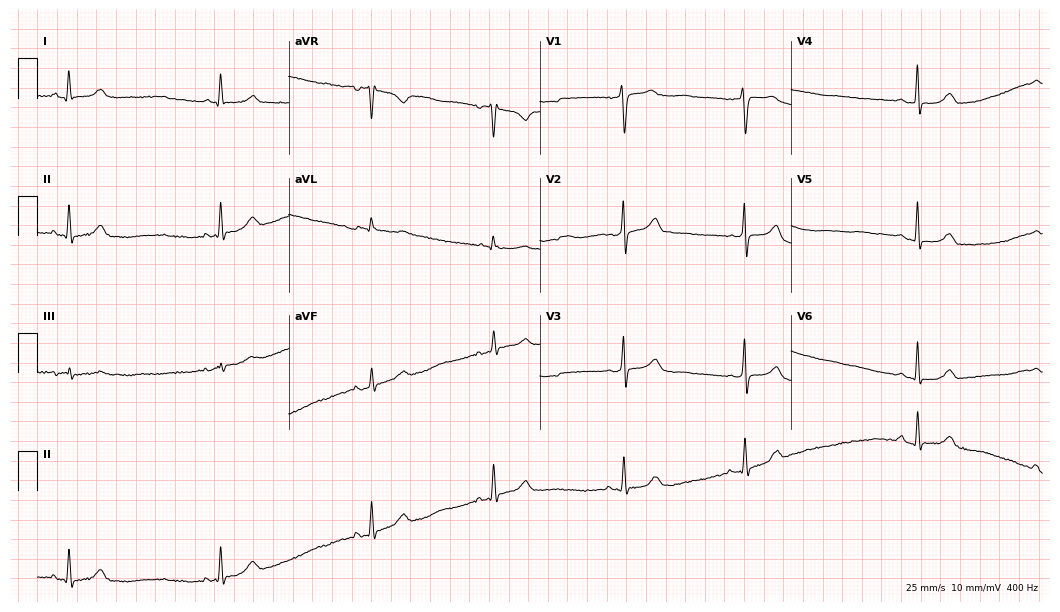
Resting 12-lead electrocardiogram (10.2-second recording at 400 Hz). Patient: a 57-year-old female. The tracing shows sinus bradycardia (a sinus rate of 50 beats per minute or less).